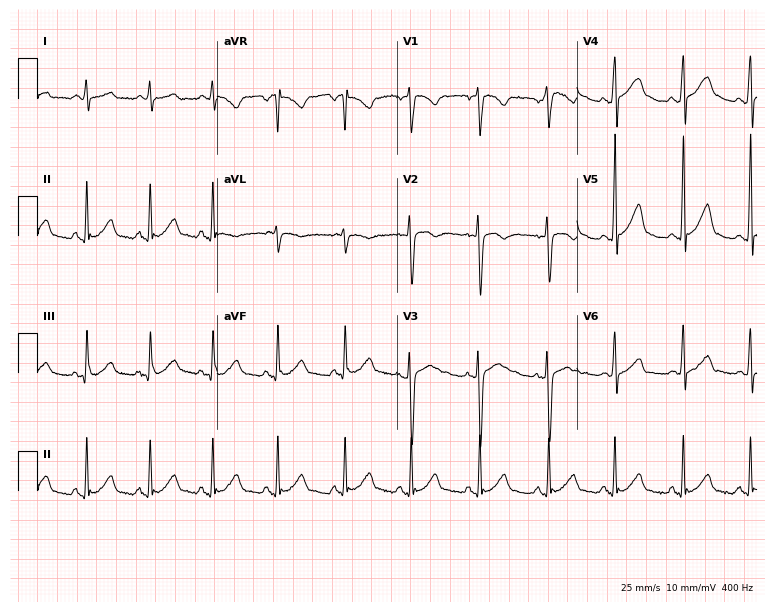
Standard 12-lead ECG recorded from a female, 29 years old (7.3-second recording at 400 Hz). None of these six findings is recorded: first-degree AV block, right bundle branch block (RBBB), left bundle branch block (LBBB), sinus bradycardia, atrial fibrillation (AF), sinus tachycardia.